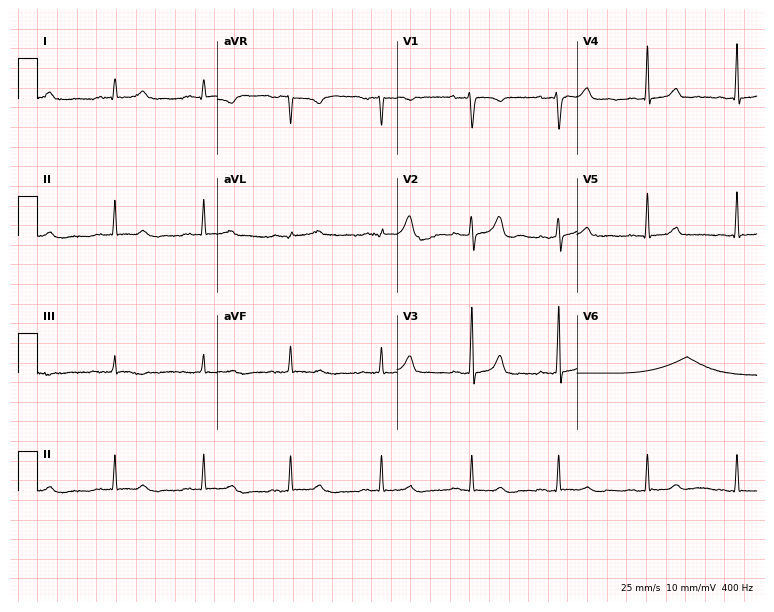
Standard 12-lead ECG recorded from a female patient, 36 years old. Read as a normal ECG.